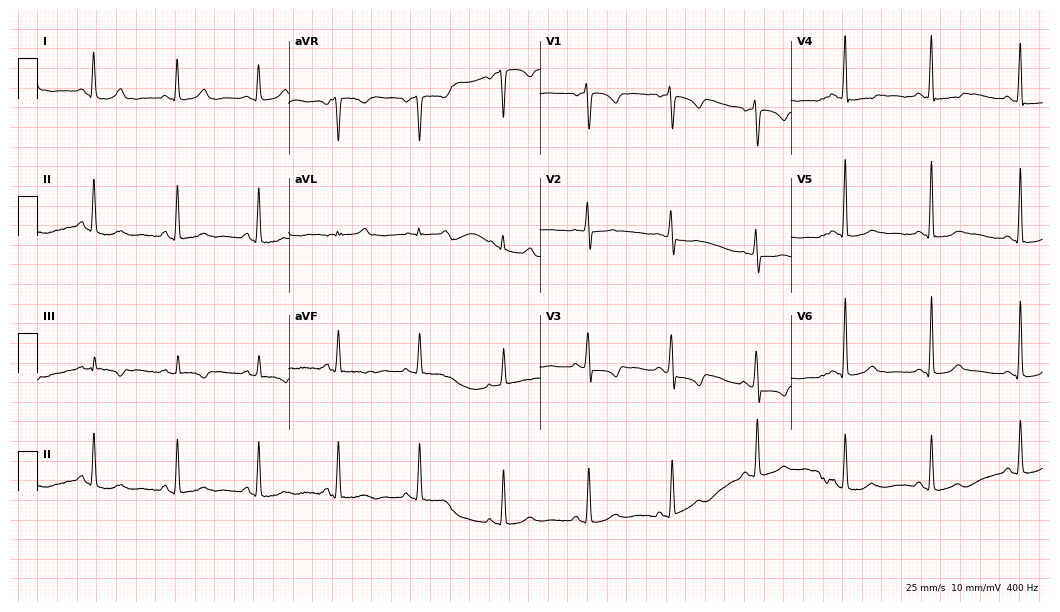
Electrocardiogram, a woman, 52 years old. Of the six screened findings (first-degree AV block, right bundle branch block, left bundle branch block, sinus bradycardia, atrial fibrillation, sinus tachycardia), none is recorded.